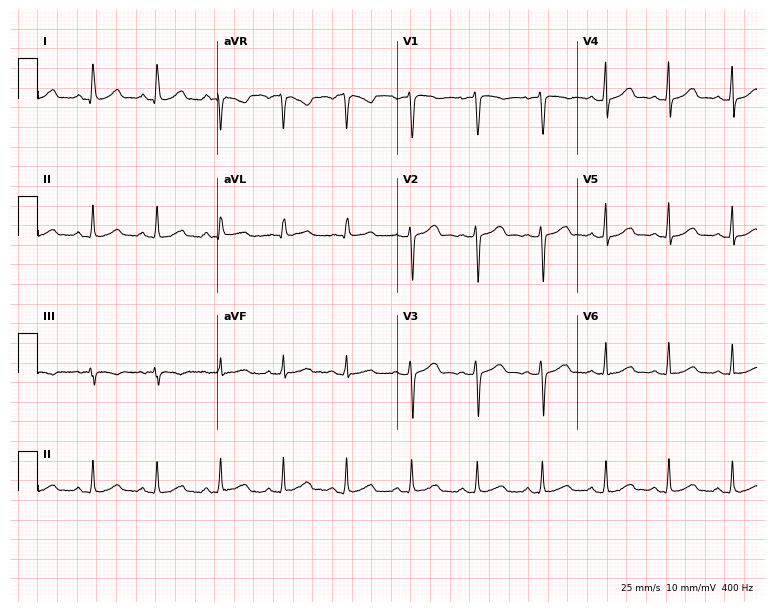
Standard 12-lead ECG recorded from a 39-year-old female patient (7.3-second recording at 400 Hz). Read as a normal ECG.